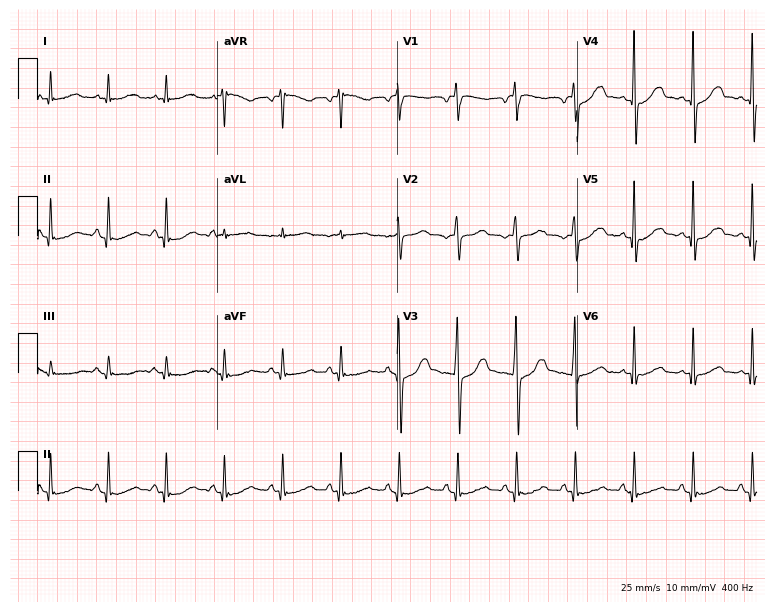
Electrocardiogram, a 74-year-old female. Of the six screened findings (first-degree AV block, right bundle branch block, left bundle branch block, sinus bradycardia, atrial fibrillation, sinus tachycardia), none is recorded.